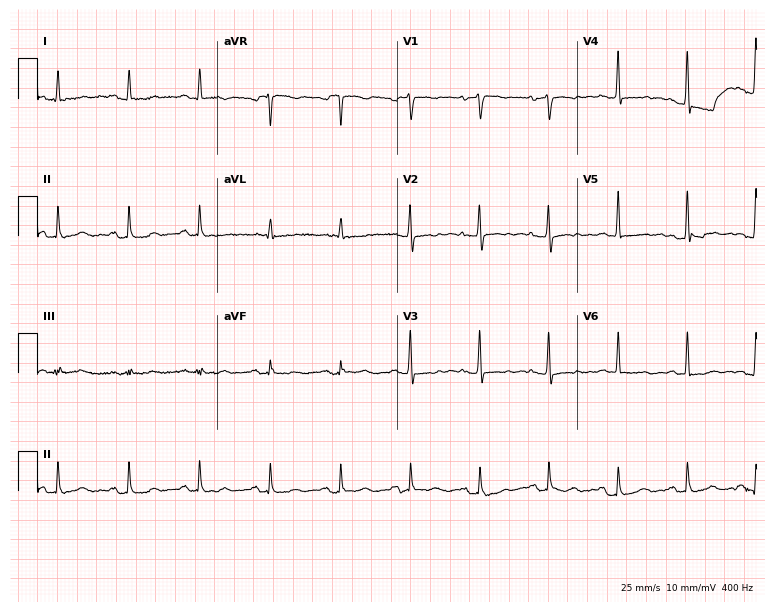
ECG (7.3-second recording at 400 Hz) — a female, 62 years old. Screened for six findings — first-degree AV block, right bundle branch block, left bundle branch block, sinus bradycardia, atrial fibrillation, sinus tachycardia — none is recorded.